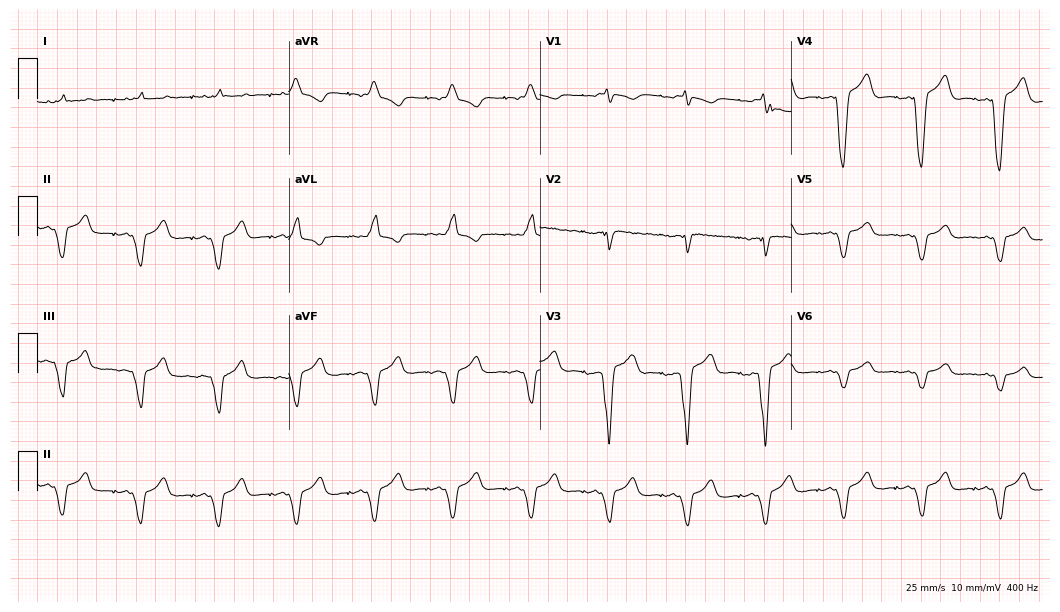
Electrocardiogram, a woman, 64 years old. Of the six screened findings (first-degree AV block, right bundle branch block, left bundle branch block, sinus bradycardia, atrial fibrillation, sinus tachycardia), none is recorded. Only these six findings were labelled.